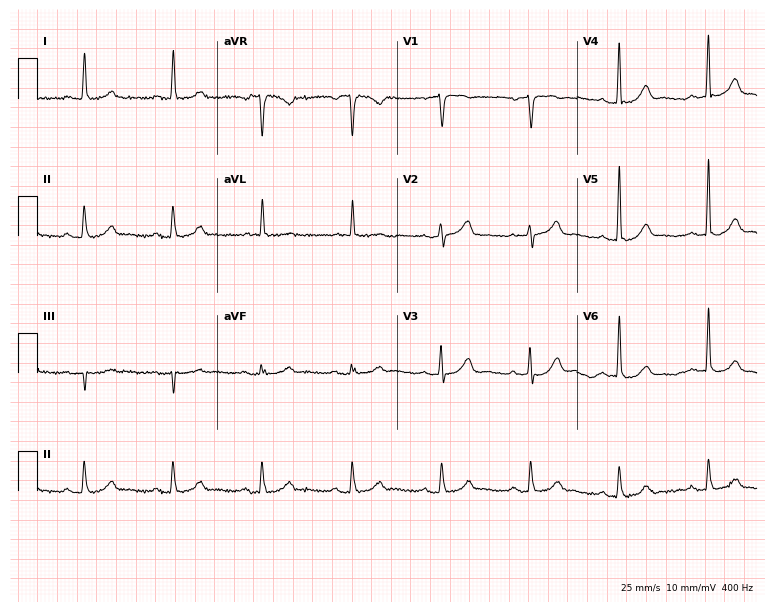
12-lead ECG from a 69-year-old woman (7.3-second recording at 400 Hz). Recorded interpretation: within normal limits.